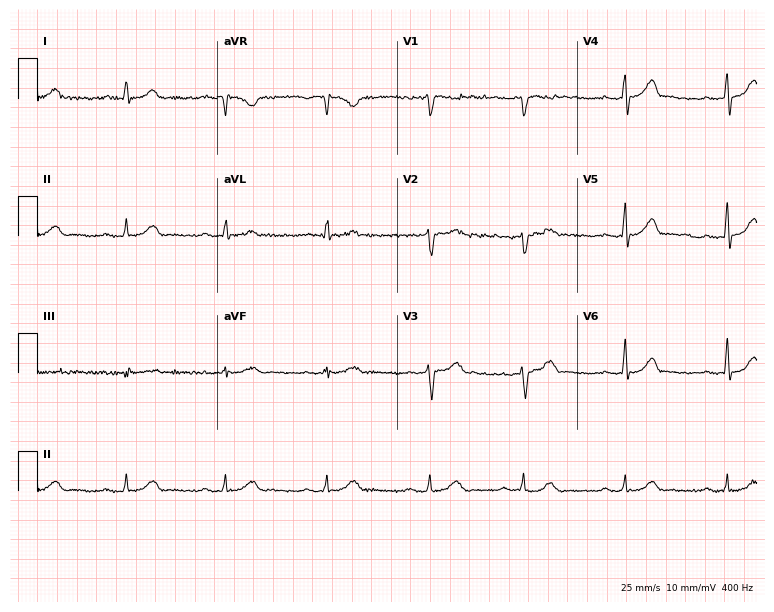
12-lead ECG from a male patient, 43 years old (7.3-second recording at 400 Hz). Recorded interpretation: within normal limits.